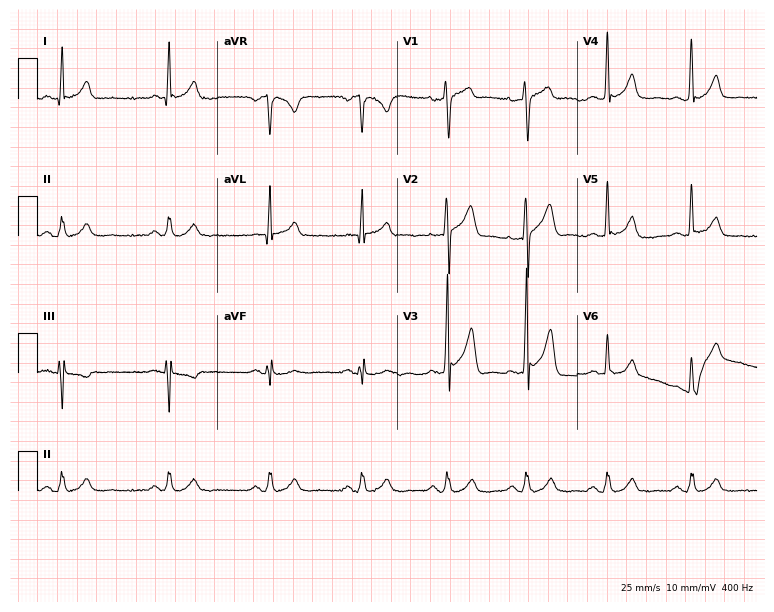
Standard 12-lead ECG recorded from a man, 48 years old. Read as a normal ECG.